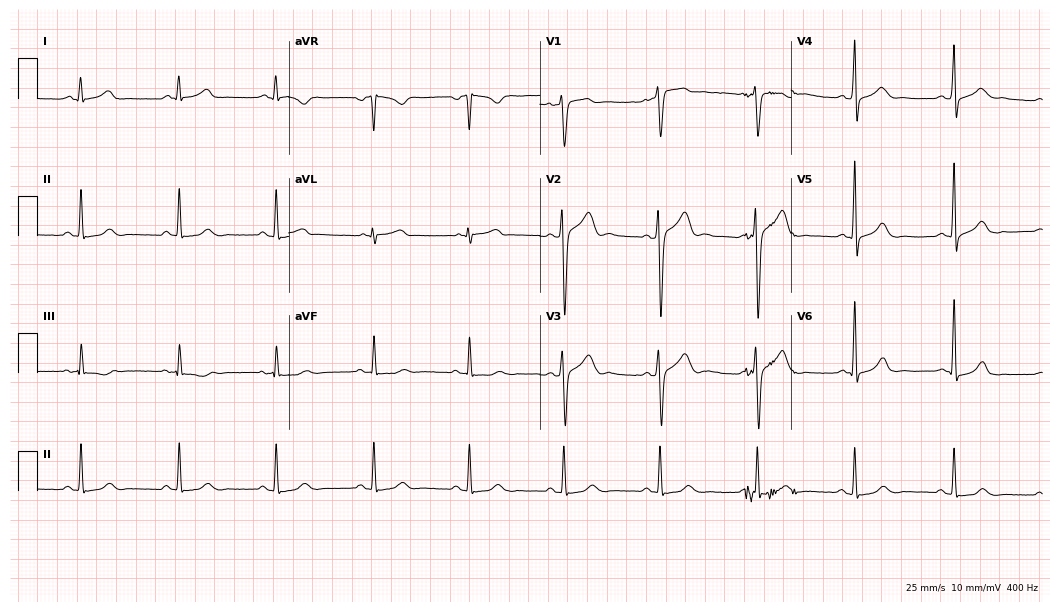
Resting 12-lead electrocardiogram. Patient: a 44-year-old male. Read as a normal ECG.